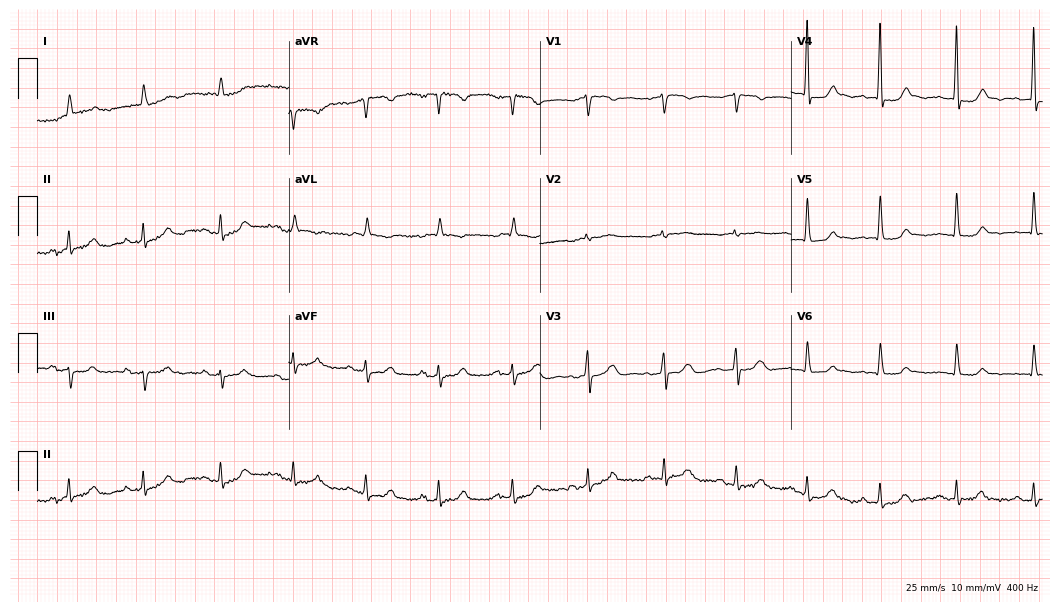
12-lead ECG from a woman, 84 years old. No first-degree AV block, right bundle branch block, left bundle branch block, sinus bradycardia, atrial fibrillation or sinus tachycardia recorded for this tracing. Only these six findings were labelled.